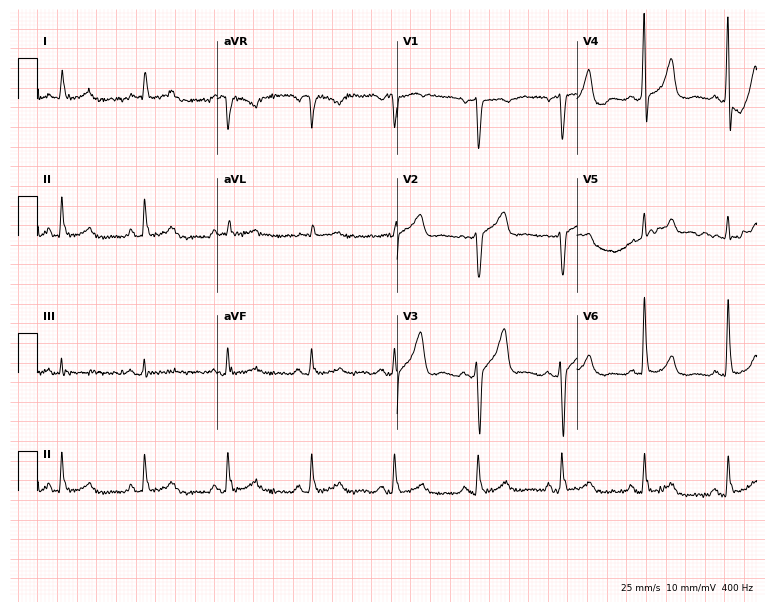
12-lead ECG from an 87-year-old male (7.3-second recording at 400 Hz). No first-degree AV block, right bundle branch block (RBBB), left bundle branch block (LBBB), sinus bradycardia, atrial fibrillation (AF) or sinus tachycardia recorded for this tracing. Only these six findings were labelled.